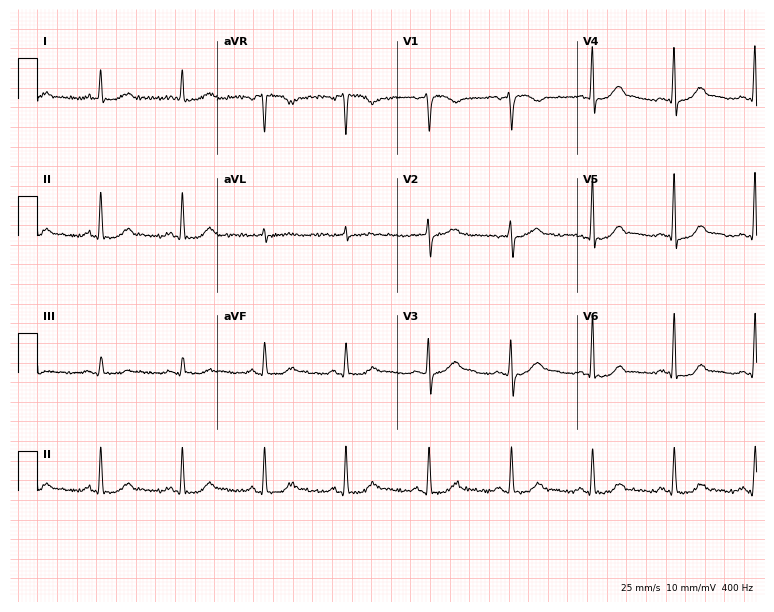
Electrocardiogram, a 56-year-old female. Overall reading on record: normal ECG.